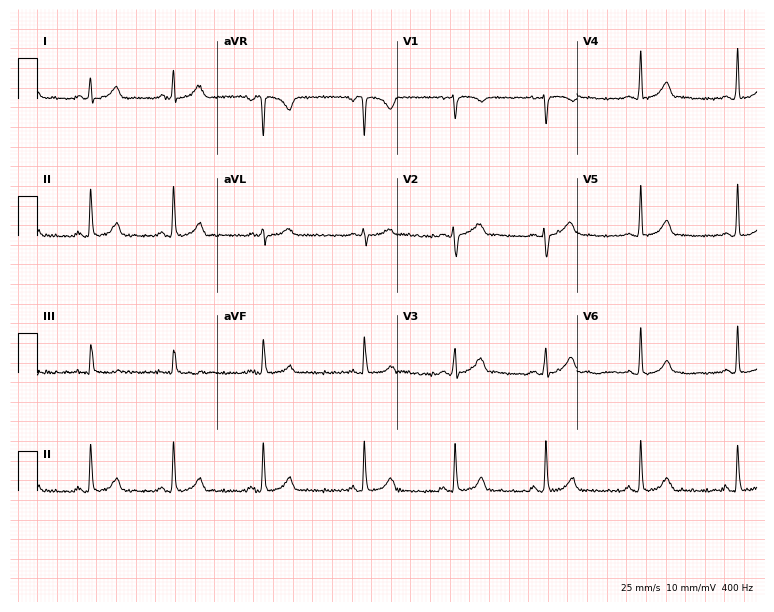
12-lead ECG from a 22-year-old female (7.3-second recording at 400 Hz). Recorded interpretation: within normal limits.